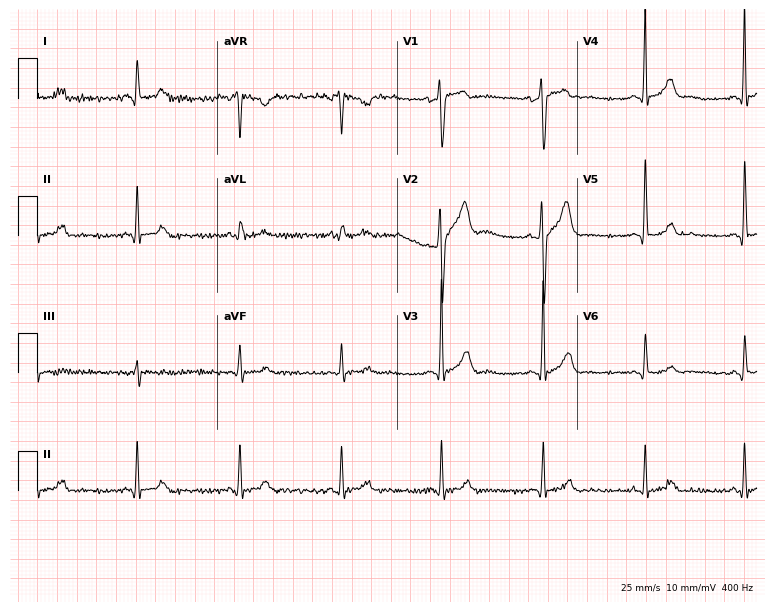
12-lead ECG (7.3-second recording at 400 Hz) from a man, 63 years old. Screened for six findings — first-degree AV block, right bundle branch block, left bundle branch block, sinus bradycardia, atrial fibrillation, sinus tachycardia — none is recorded. Only these six findings were labelled.